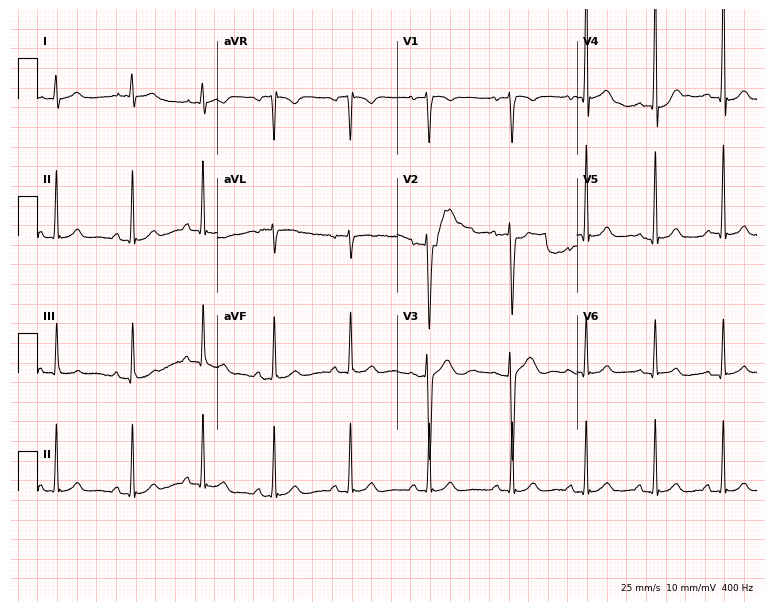
Standard 12-lead ECG recorded from an 18-year-old man. Read as a normal ECG.